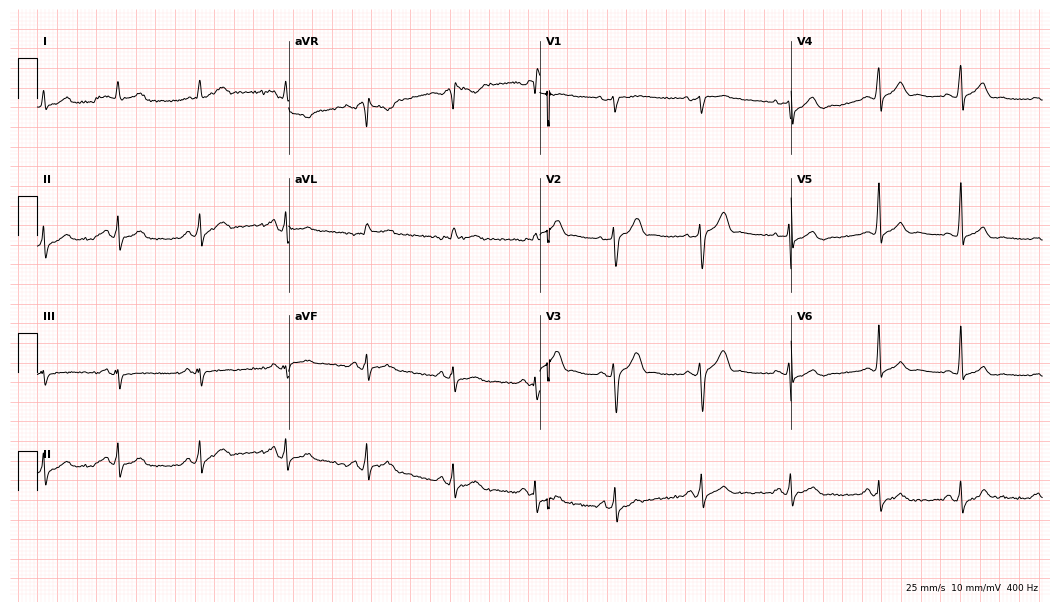
Electrocardiogram, a male, 31 years old. Of the six screened findings (first-degree AV block, right bundle branch block, left bundle branch block, sinus bradycardia, atrial fibrillation, sinus tachycardia), none is recorded. Only these six findings were labelled.